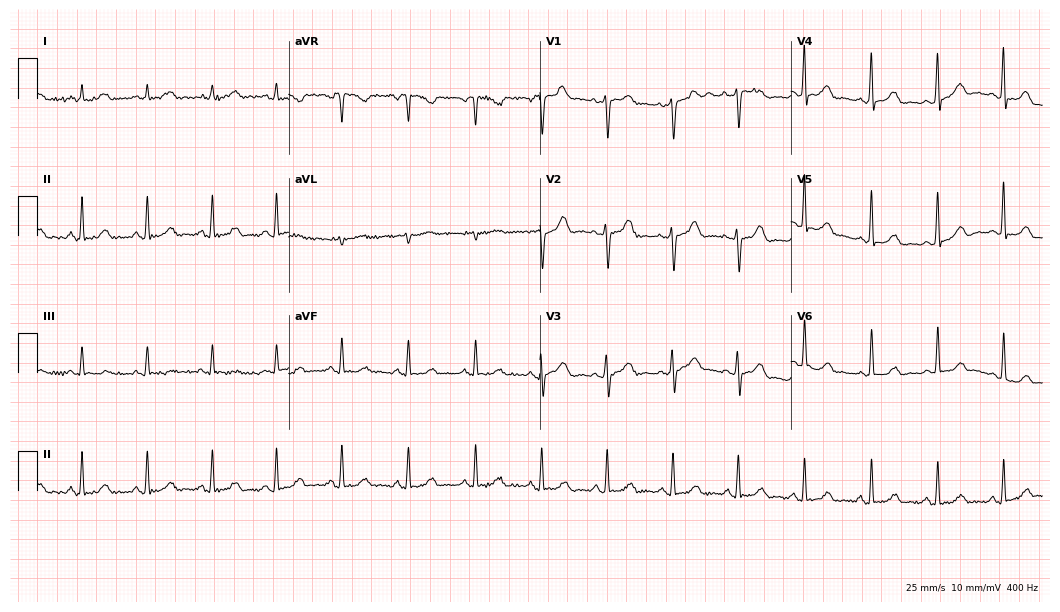
12-lead ECG (10.2-second recording at 400 Hz) from a 51-year-old female. Labelled as a normal ECG.